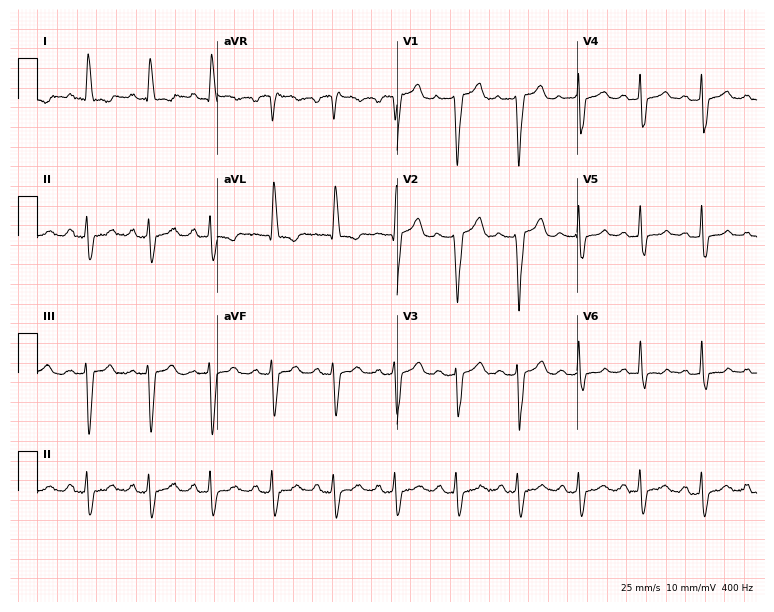
12-lead ECG (7.3-second recording at 400 Hz) from a female, 65 years old. Screened for six findings — first-degree AV block, right bundle branch block, left bundle branch block, sinus bradycardia, atrial fibrillation, sinus tachycardia — none is recorded.